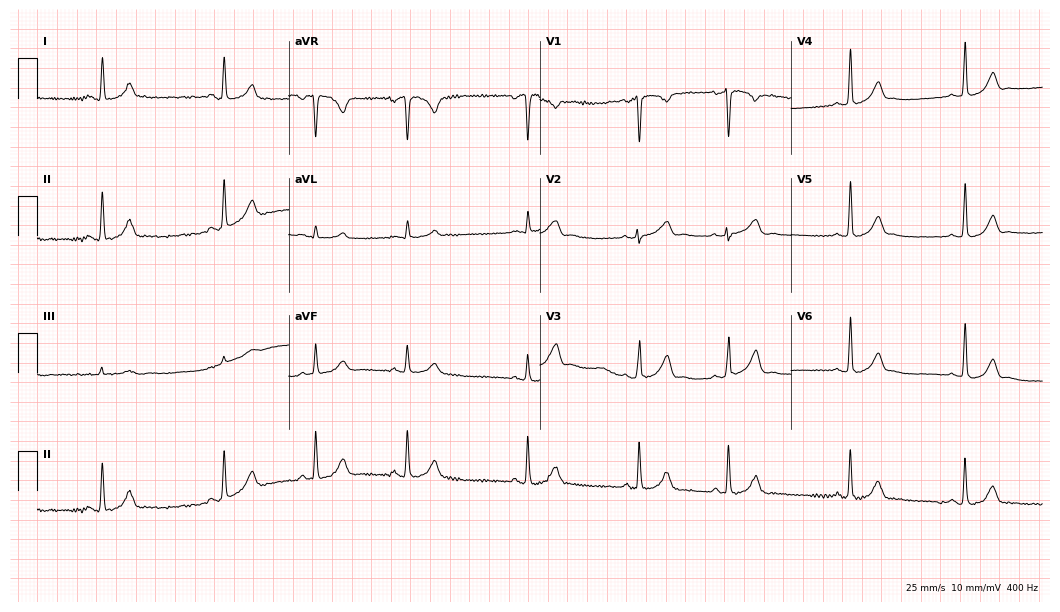
12-lead ECG (10.2-second recording at 400 Hz) from a female, 17 years old. Labelled as a normal ECG.